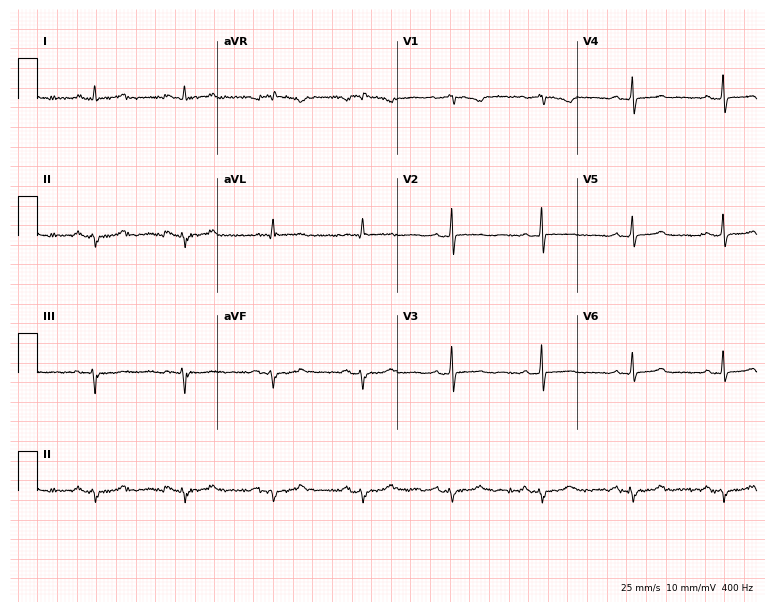
ECG — a 45-year-old female. Screened for six findings — first-degree AV block, right bundle branch block, left bundle branch block, sinus bradycardia, atrial fibrillation, sinus tachycardia — none is recorded.